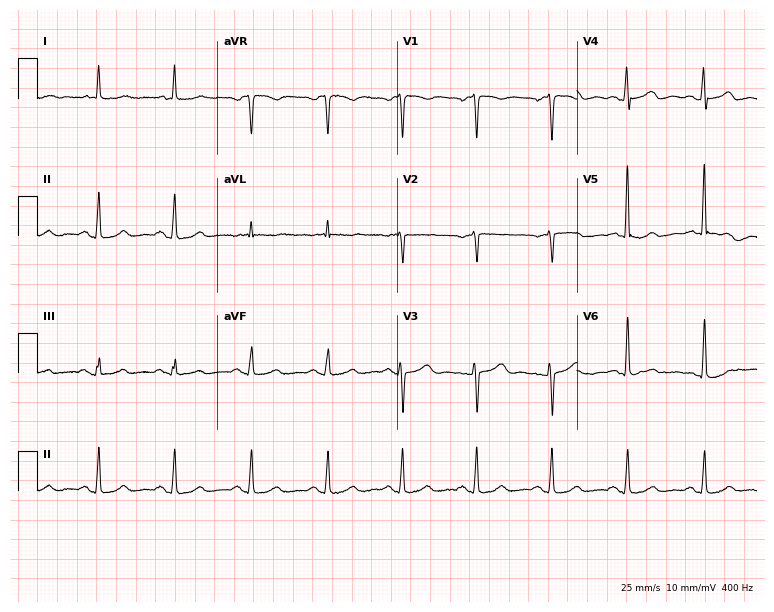
Standard 12-lead ECG recorded from a female patient, 65 years old (7.3-second recording at 400 Hz). None of these six findings is recorded: first-degree AV block, right bundle branch block (RBBB), left bundle branch block (LBBB), sinus bradycardia, atrial fibrillation (AF), sinus tachycardia.